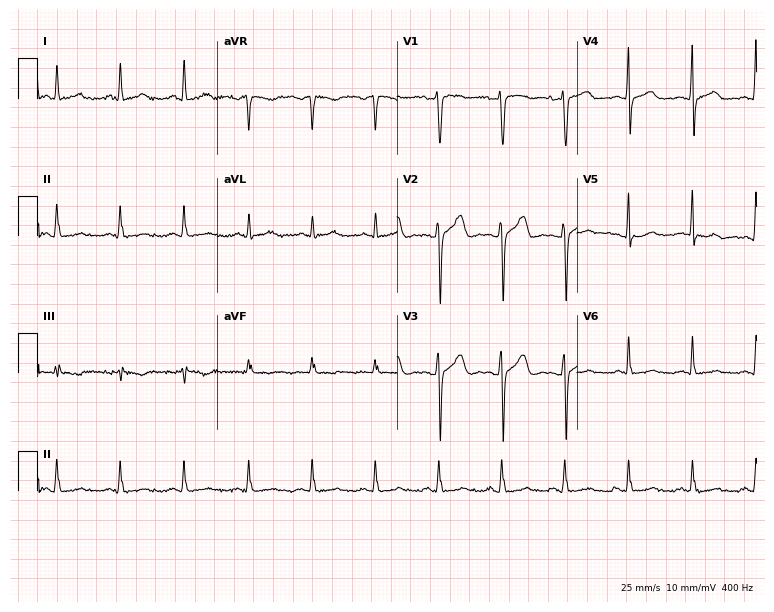
12-lead ECG from a 34-year-old woman. No first-degree AV block, right bundle branch block (RBBB), left bundle branch block (LBBB), sinus bradycardia, atrial fibrillation (AF) or sinus tachycardia recorded for this tracing.